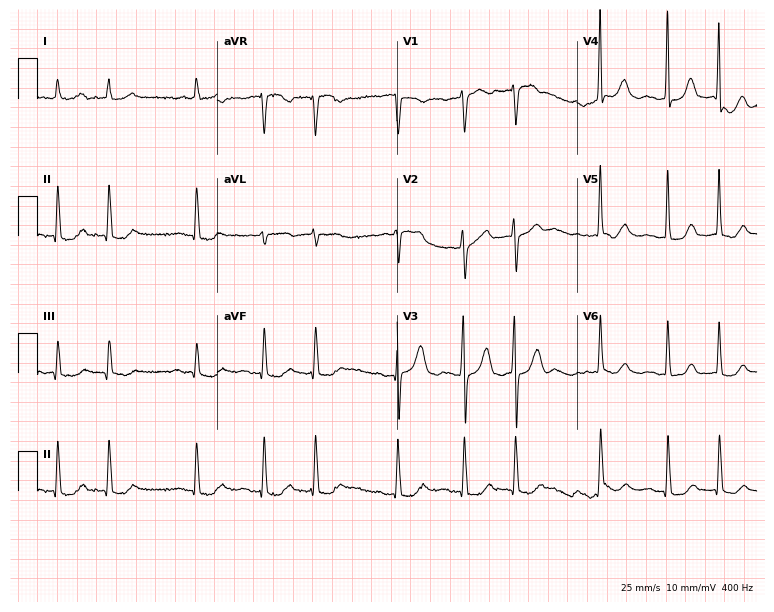
Resting 12-lead electrocardiogram (7.3-second recording at 400 Hz). Patient: a 78-year-old male. The tracing shows atrial fibrillation.